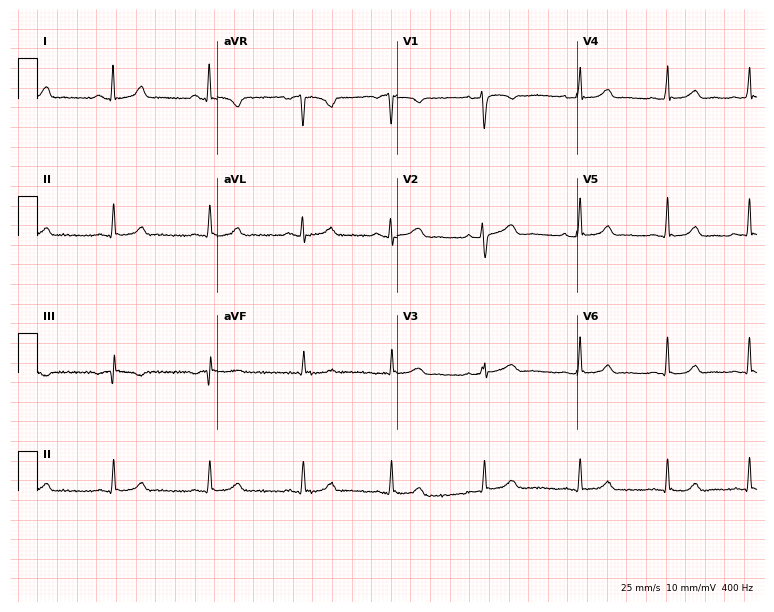
12-lead ECG (7.3-second recording at 400 Hz) from a 22-year-old female. Labelled as a normal ECG.